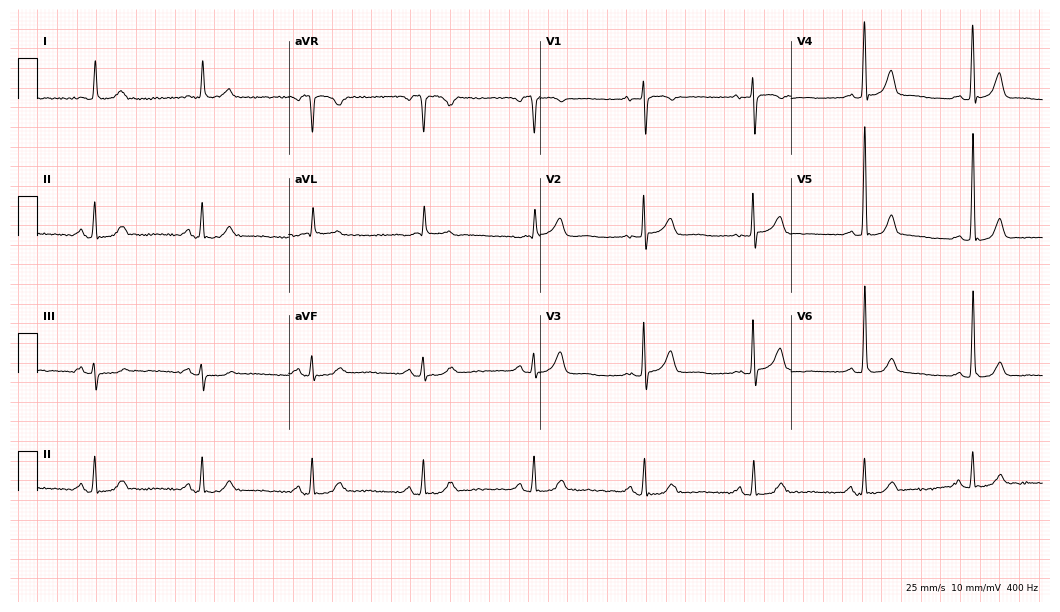
12-lead ECG (10.2-second recording at 400 Hz) from a 75-year-old woman. Labelled as a normal ECG.